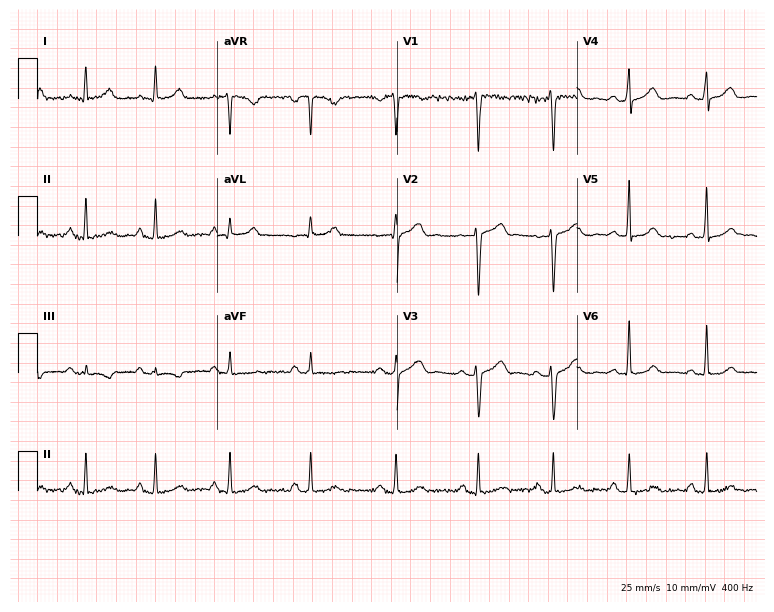
Resting 12-lead electrocardiogram (7.3-second recording at 400 Hz). Patient: a 40-year-old female. None of these six findings is recorded: first-degree AV block, right bundle branch block, left bundle branch block, sinus bradycardia, atrial fibrillation, sinus tachycardia. Other findings, if any, are not listed.